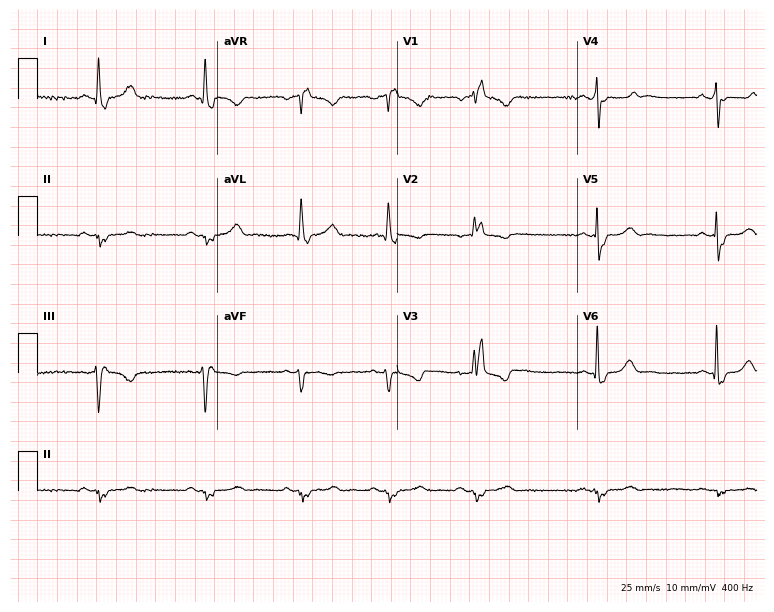
Electrocardiogram, a woman, 40 years old. Interpretation includes right bundle branch block.